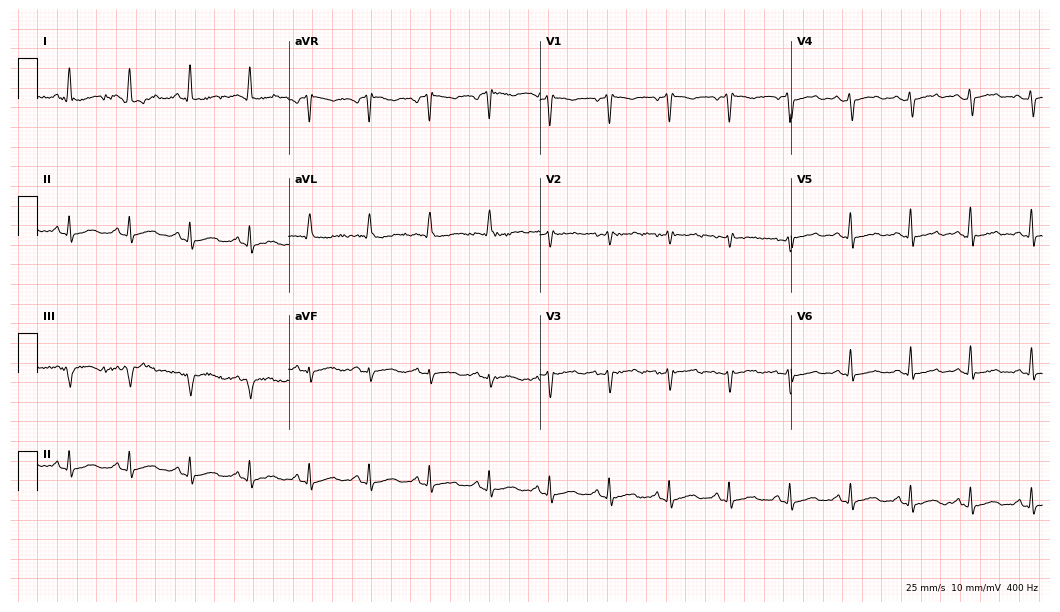
12-lead ECG from a 40-year-old female patient. Screened for six findings — first-degree AV block, right bundle branch block, left bundle branch block, sinus bradycardia, atrial fibrillation, sinus tachycardia — none is recorded.